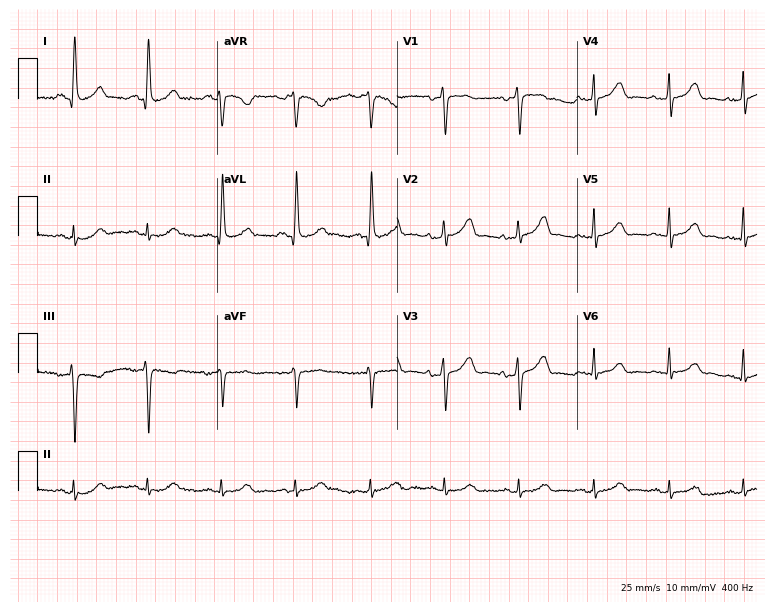
12-lead ECG from a female patient, 67 years old. Recorded interpretation: within normal limits.